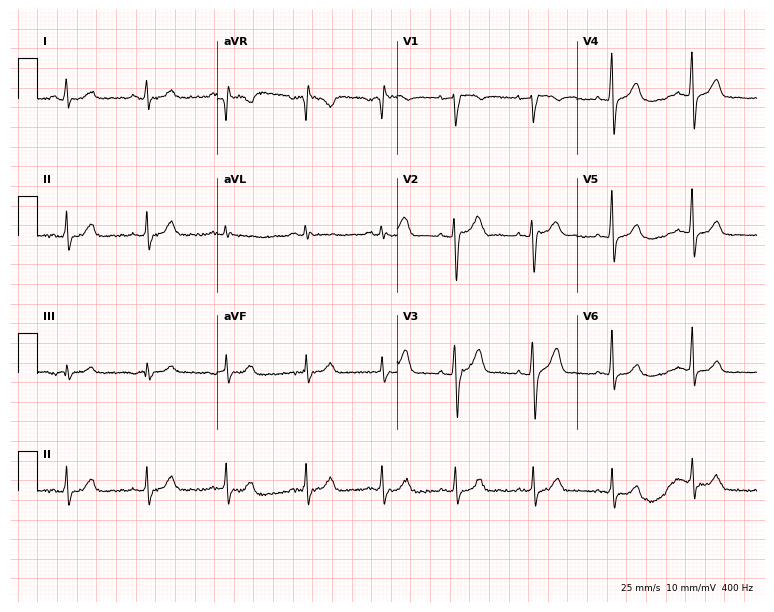
Electrocardiogram, a male patient, 41 years old. Overall reading on record: normal ECG.